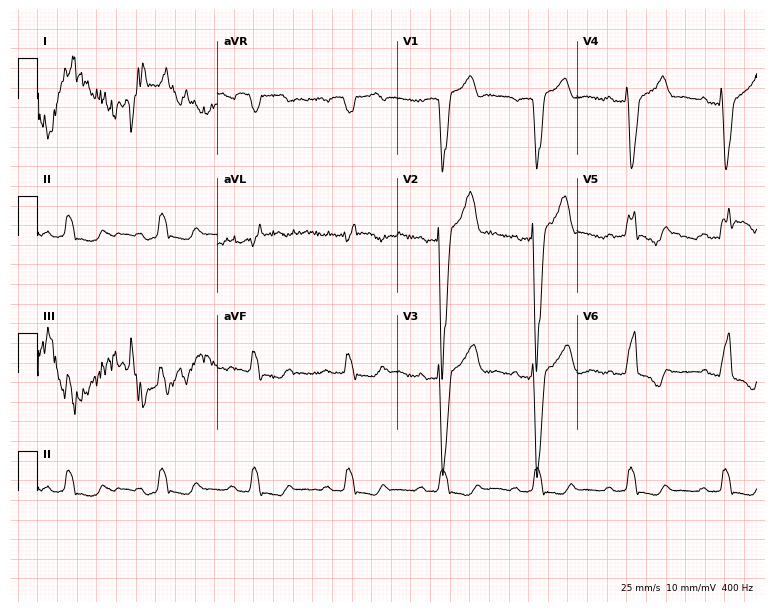
12-lead ECG from a male, 78 years old. Findings include first-degree AV block, left bundle branch block.